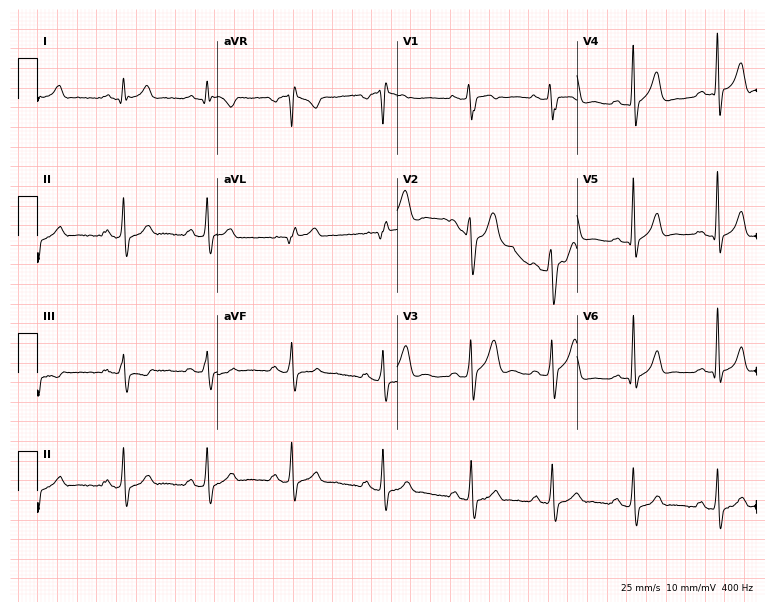
Resting 12-lead electrocardiogram (7.3-second recording at 400 Hz). Patient: a male, 24 years old. None of these six findings is recorded: first-degree AV block, right bundle branch block (RBBB), left bundle branch block (LBBB), sinus bradycardia, atrial fibrillation (AF), sinus tachycardia. Findings outside these six are not listed.